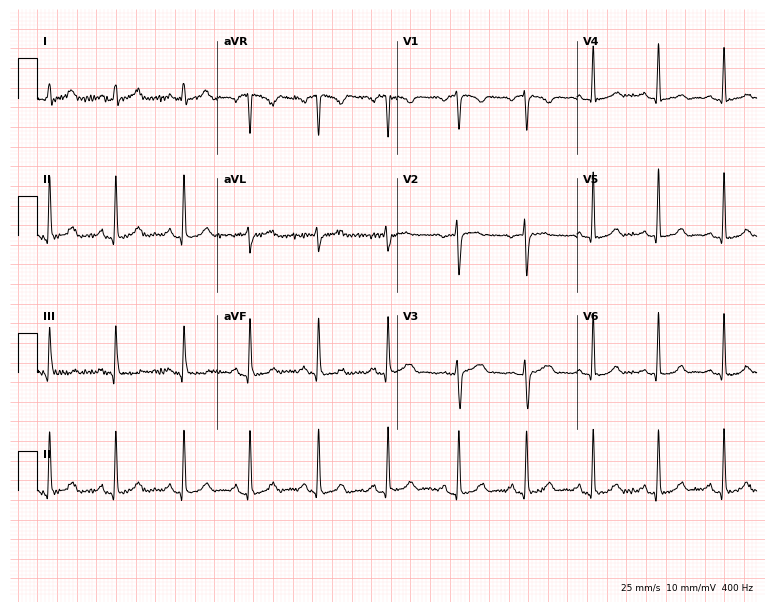
Electrocardiogram (7.3-second recording at 400 Hz), a female, 43 years old. Overall reading on record: normal ECG.